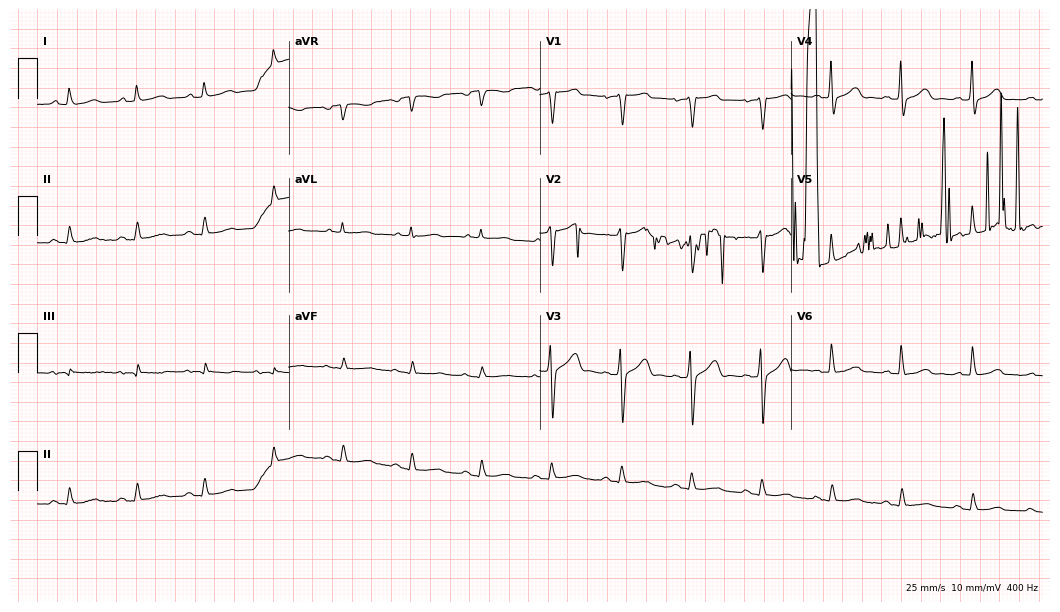
ECG — a 69-year-old male patient. Screened for six findings — first-degree AV block, right bundle branch block (RBBB), left bundle branch block (LBBB), sinus bradycardia, atrial fibrillation (AF), sinus tachycardia — none is recorded. Findings outside these six are not listed.